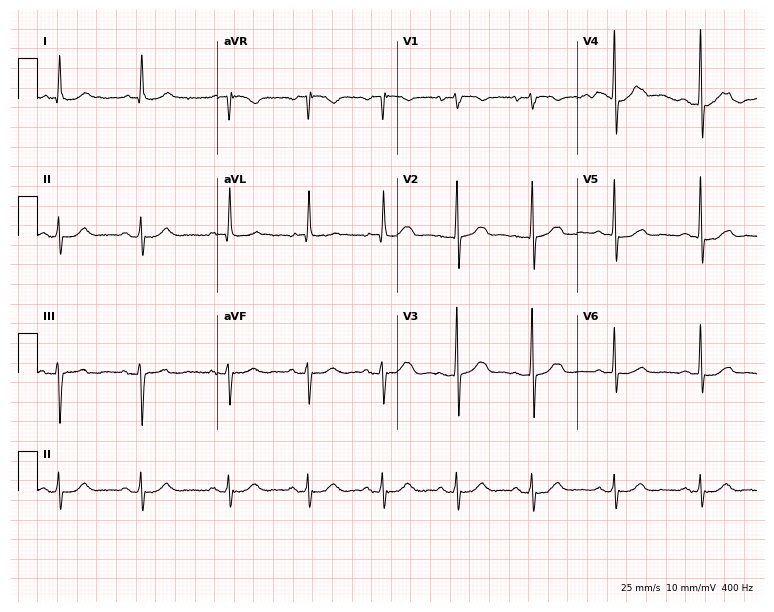
Electrocardiogram, a 74-year-old female patient. Overall reading on record: normal ECG.